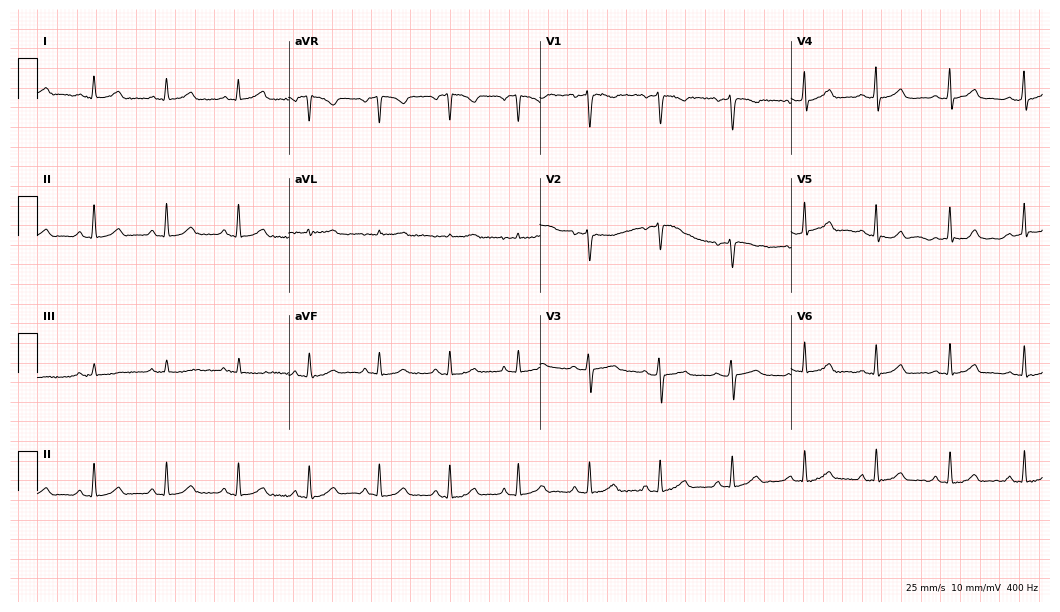
Standard 12-lead ECG recorded from a female, 40 years old. Read as a normal ECG.